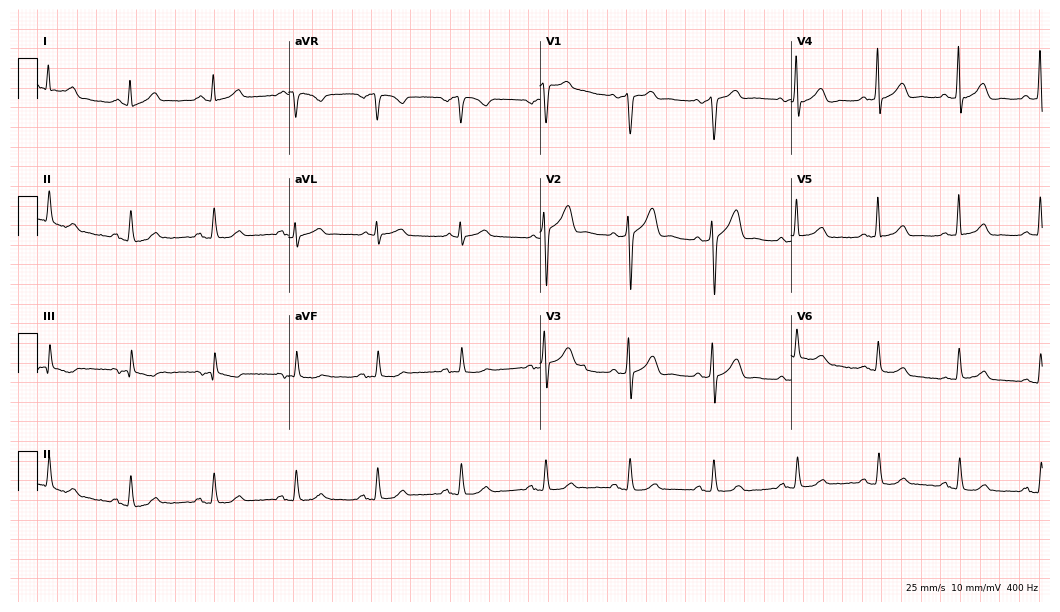
ECG — a male, 62 years old. Labelled as a normal ECG.